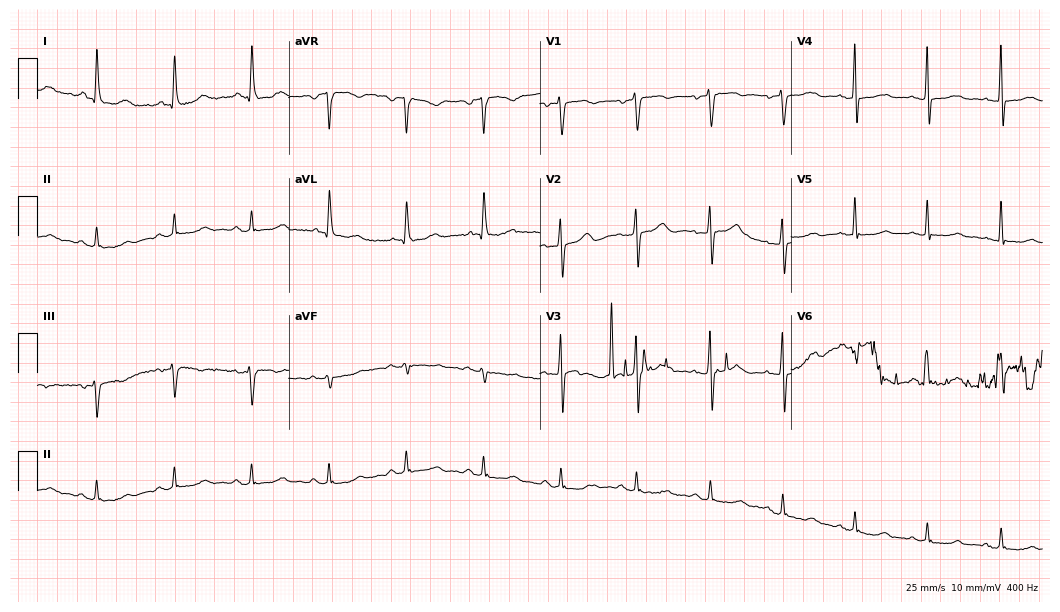
ECG (10.2-second recording at 400 Hz) — a 65-year-old woman. Labelled as a normal ECG.